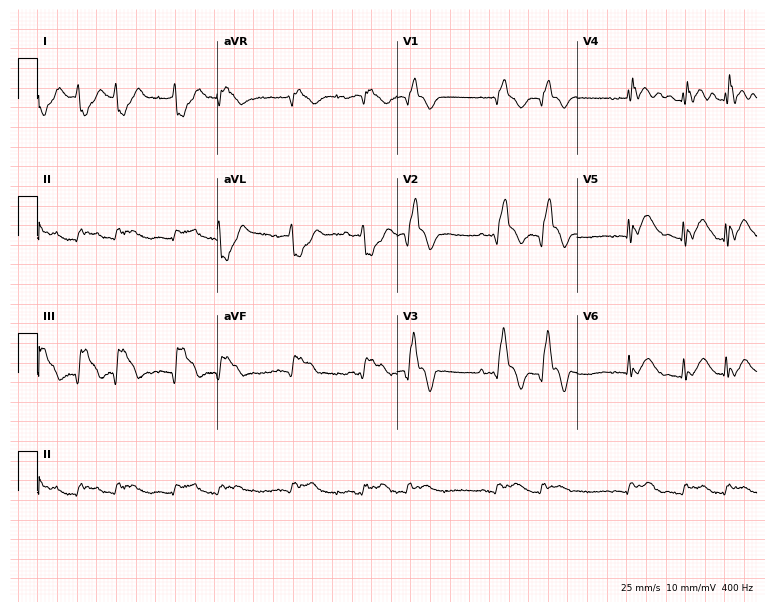
ECG (7.3-second recording at 400 Hz) — an 84-year-old male patient. Screened for six findings — first-degree AV block, right bundle branch block, left bundle branch block, sinus bradycardia, atrial fibrillation, sinus tachycardia — none is recorded. Other findings, if any, are not listed.